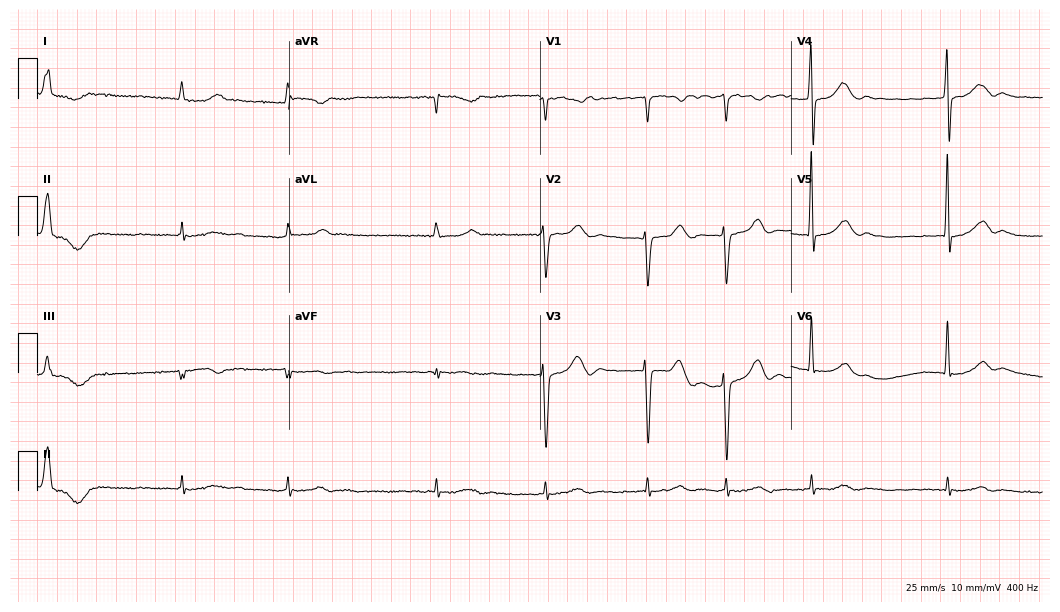
Electrocardiogram (10.2-second recording at 400 Hz), a 73-year-old man. Interpretation includes atrial fibrillation.